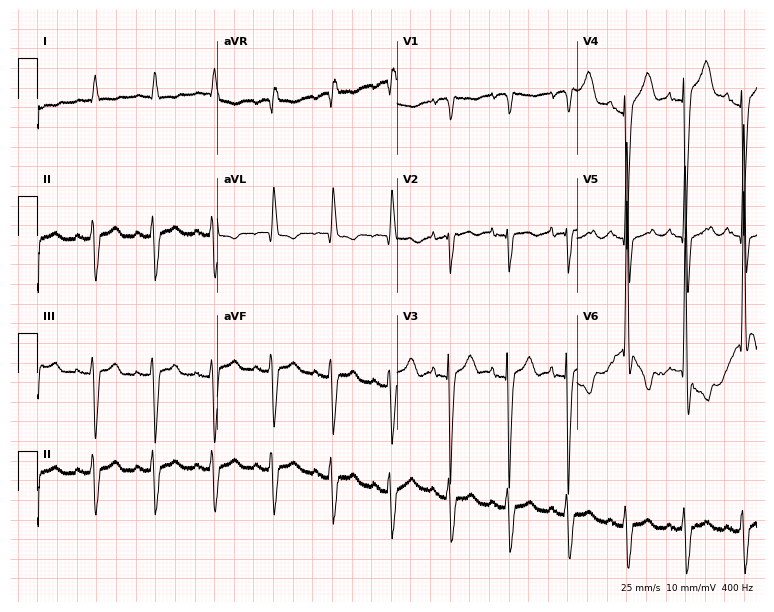
Resting 12-lead electrocardiogram (7.3-second recording at 400 Hz). Patient: a woman, 84 years old. None of these six findings is recorded: first-degree AV block, right bundle branch block, left bundle branch block, sinus bradycardia, atrial fibrillation, sinus tachycardia.